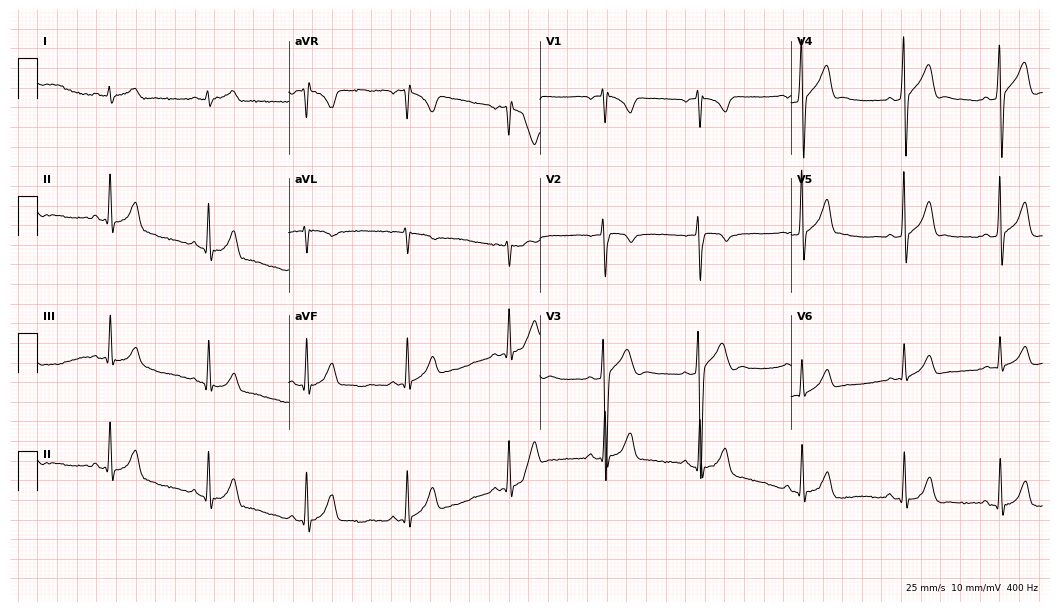
ECG (10.2-second recording at 400 Hz) — a 25-year-old man. Labelled as a normal ECG.